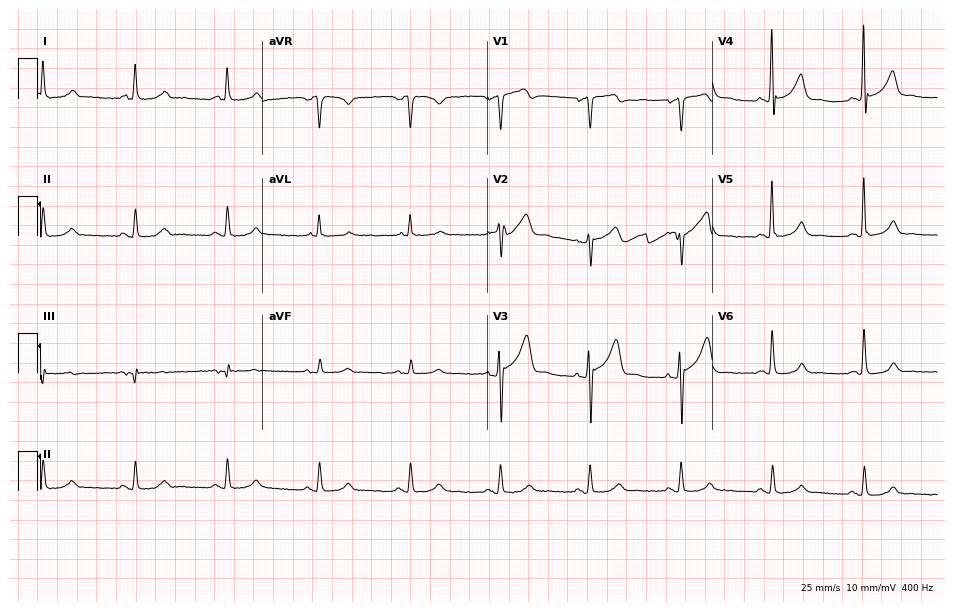
12-lead ECG from a male patient, 54 years old. No first-degree AV block, right bundle branch block, left bundle branch block, sinus bradycardia, atrial fibrillation or sinus tachycardia recorded for this tracing.